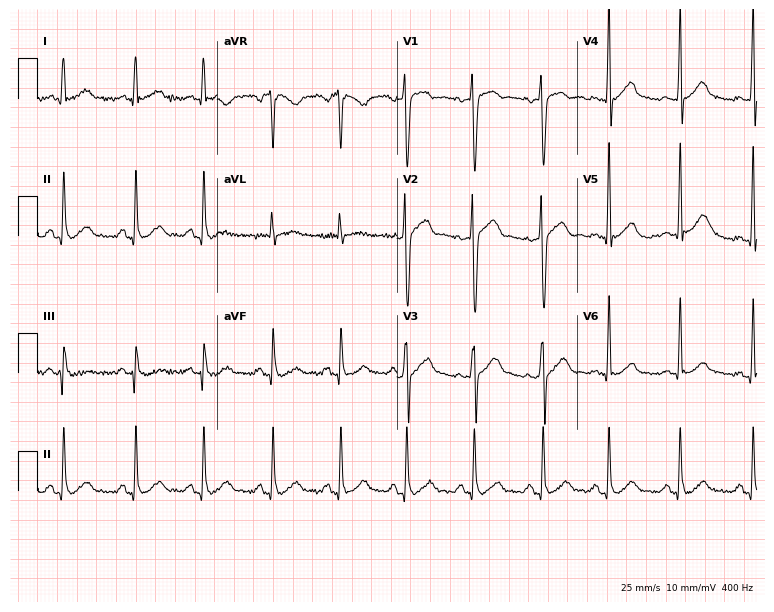
Standard 12-lead ECG recorded from a male patient, 29 years old. None of these six findings is recorded: first-degree AV block, right bundle branch block, left bundle branch block, sinus bradycardia, atrial fibrillation, sinus tachycardia.